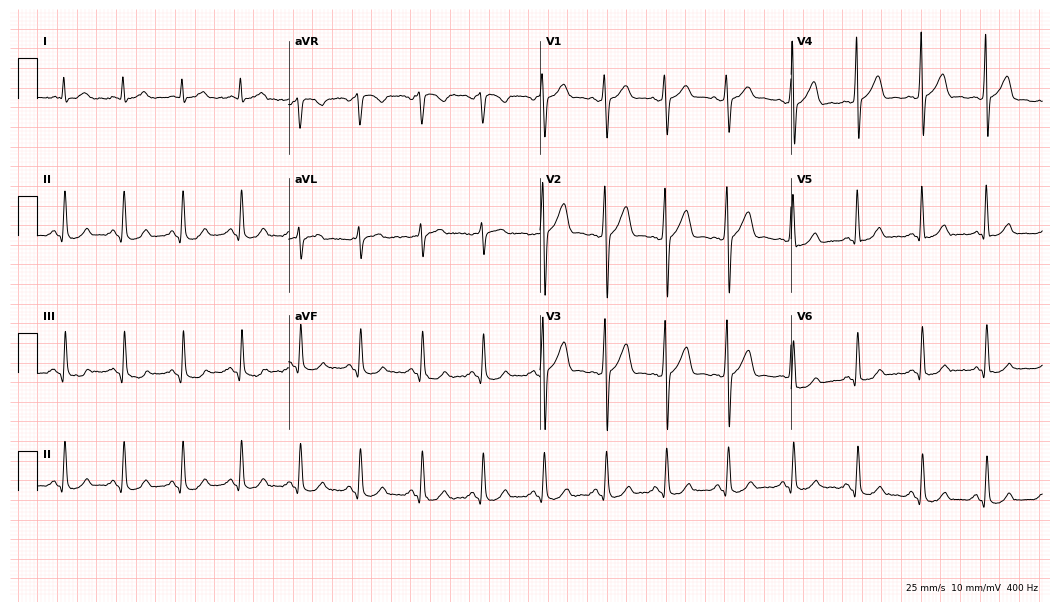
ECG (10.2-second recording at 400 Hz) — a male patient, 44 years old. Screened for six findings — first-degree AV block, right bundle branch block (RBBB), left bundle branch block (LBBB), sinus bradycardia, atrial fibrillation (AF), sinus tachycardia — none is recorded. Only these six findings were labelled.